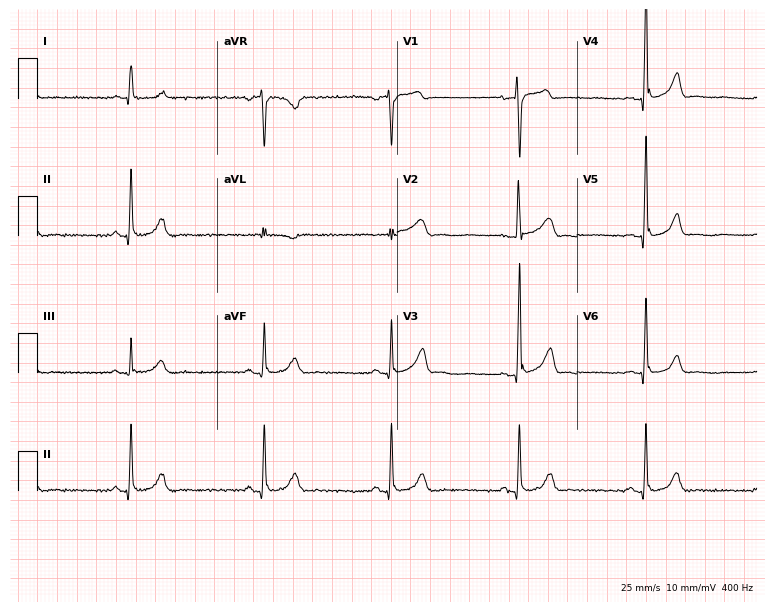
Electrocardiogram (7.3-second recording at 400 Hz), a man, 54 years old. Interpretation includes sinus bradycardia (a sinus rate of 50 beats per minute or less).